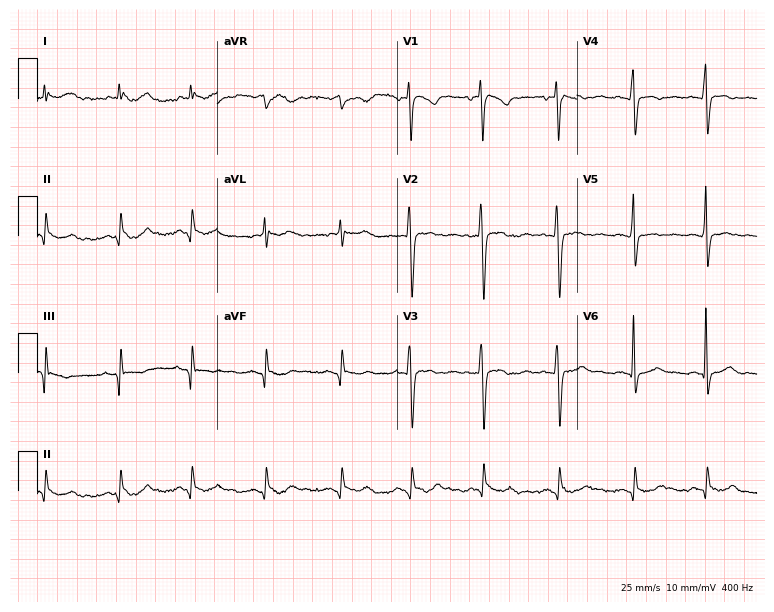
Resting 12-lead electrocardiogram (7.3-second recording at 400 Hz). Patient: a 31-year-old male. Read as a normal ECG.